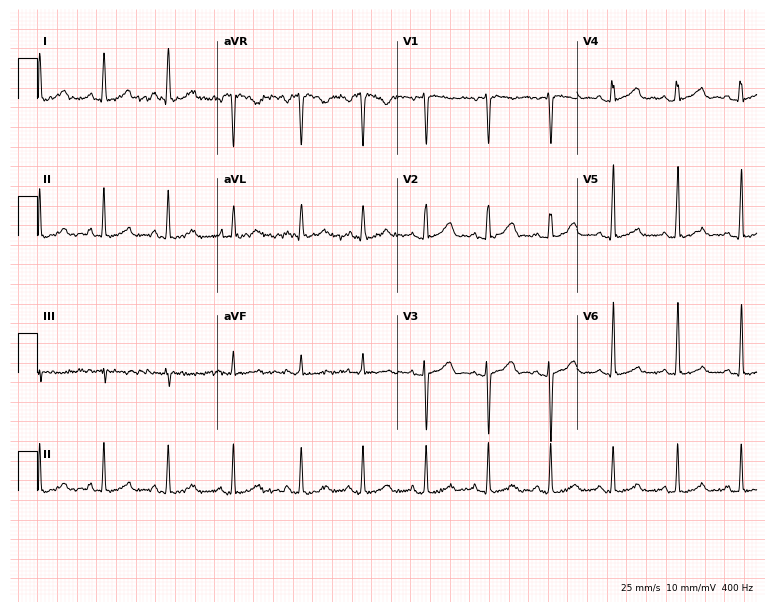
Electrocardiogram (7.3-second recording at 400 Hz), a female, 33 years old. Overall reading on record: normal ECG.